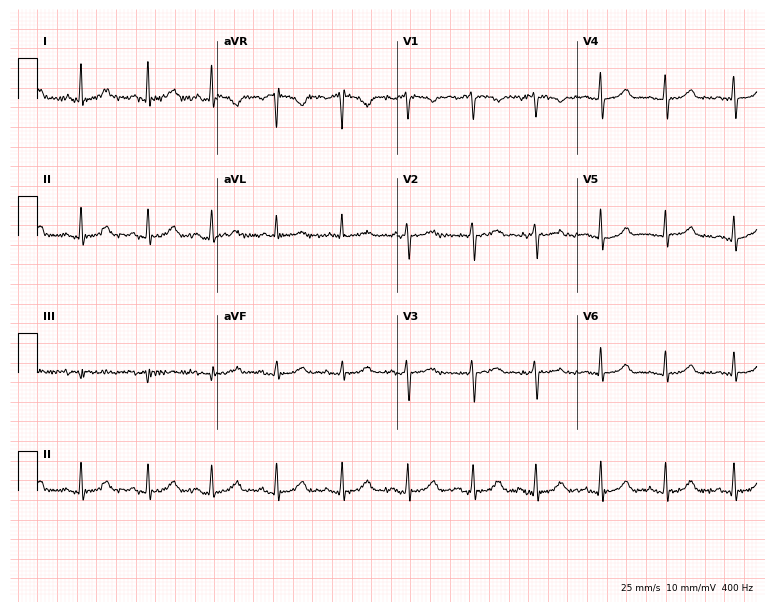
12-lead ECG from a 68-year-old female. Screened for six findings — first-degree AV block, right bundle branch block (RBBB), left bundle branch block (LBBB), sinus bradycardia, atrial fibrillation (AF), sinus tachycardia — none is recorded. Other findings, if any, are not listed.